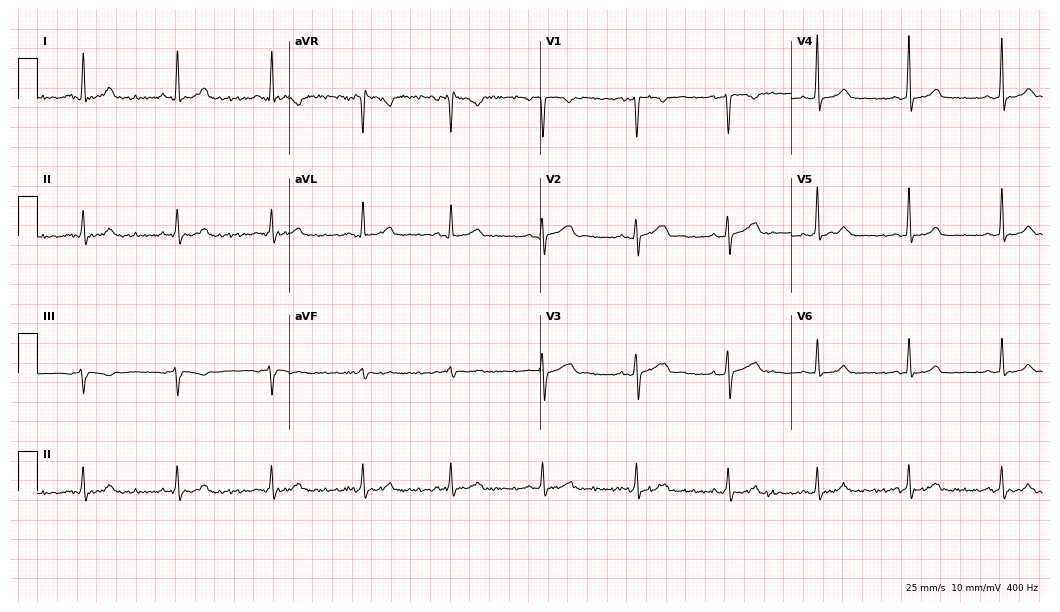
12-lead ECG (10.2-second recording at 400 Hz) from a 28-year-old female. Screened for six findings — first-degree AV block, right bundle branch block, left bundle branch block, sinus bradycardia, atrial fibrillation, sinus tachycardia — none is recorded.